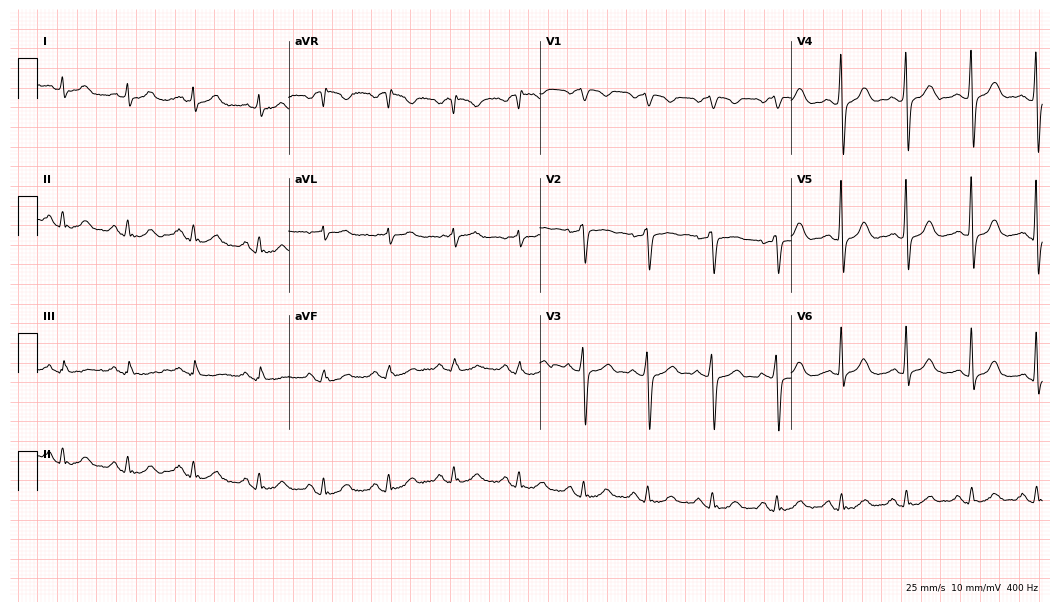
12-lead ECG (10.2-second recording at 400 Hz) from a 58-year-old male patient. Screened for six findings — first-degree AV block, right bundle branch block (RBBB), left bundle branch block (LBBB), sinus bradycardia, atrial fibrillation (AF), sinus tachycardia — none is recorded.